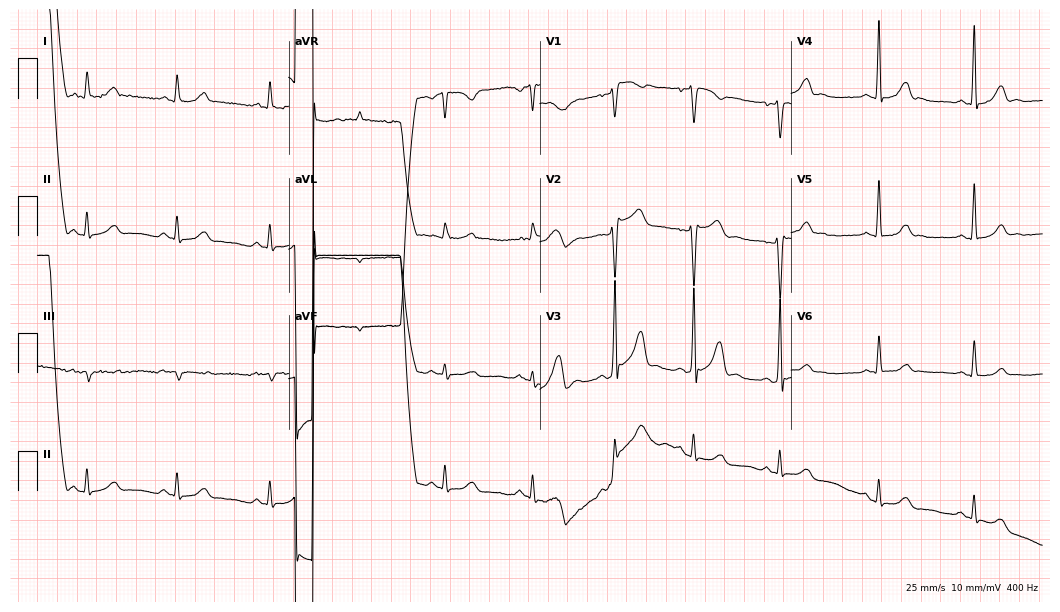
Electrocardiogram (10.2-second recording at 400 Hz), a male, 29 years old. Of the six screened findings (first-degree AV block, right bundle branch block (RBBB), left bundle branch block (LBBB), sinus bradycardia, atrial fibrillation (AF), sinus tachycardia), none is recorded.